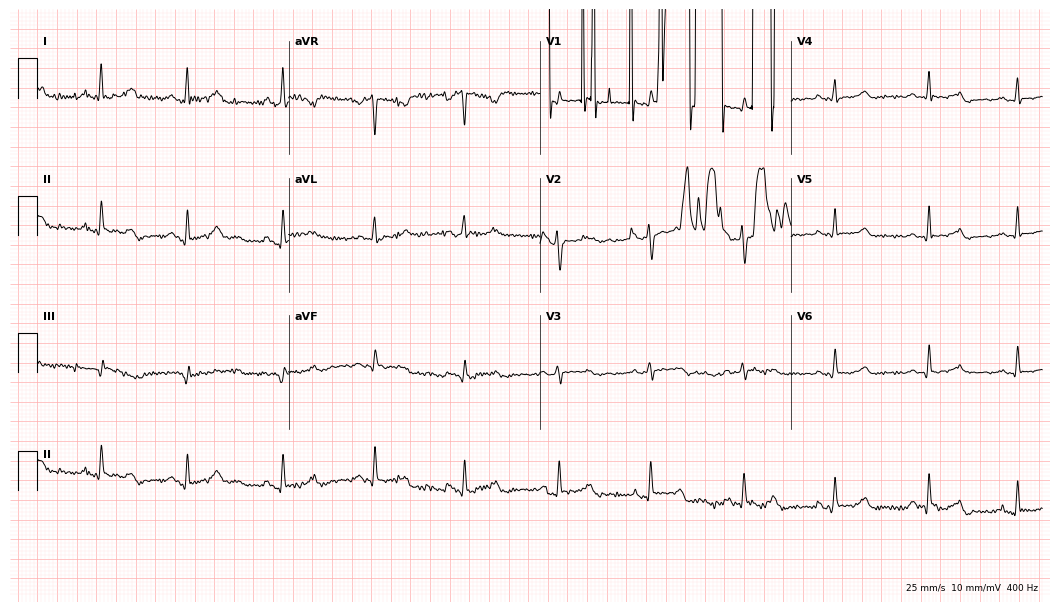
12-lead ECG from a 35-year-old female. Screened for six findings — first-degree AV block, right bundle branch block, left bundle branch block, sinus bradycardia, atrial fibrillation, sinus tachycardia — none is recorded.